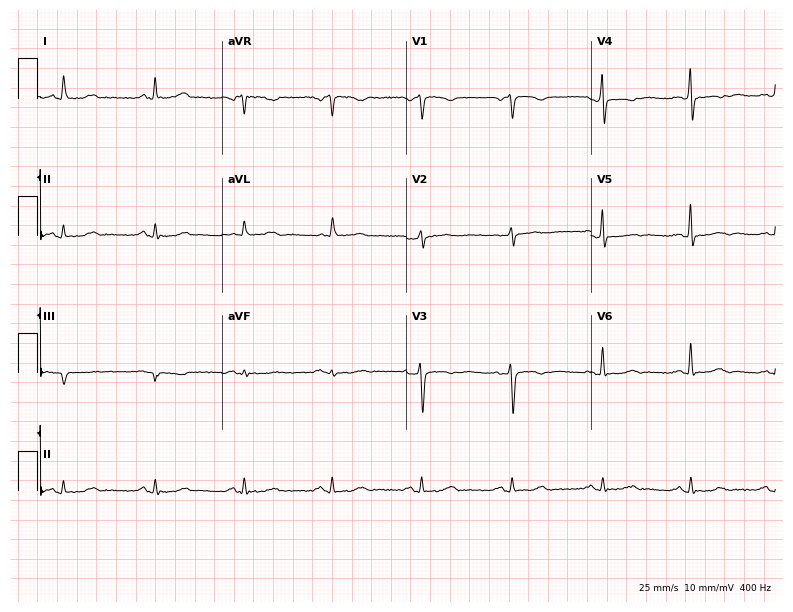
Electrocardiogram (7.5-second recording at 400 Hz), a woman, 68 years old. Of the six screened findings (first-degree AV block, right bundle branch block, left bundle branch block, sinus bradycardia, atrial fibrillation, sinus tachycardia), none is recorded. Only these six findings were labelled.